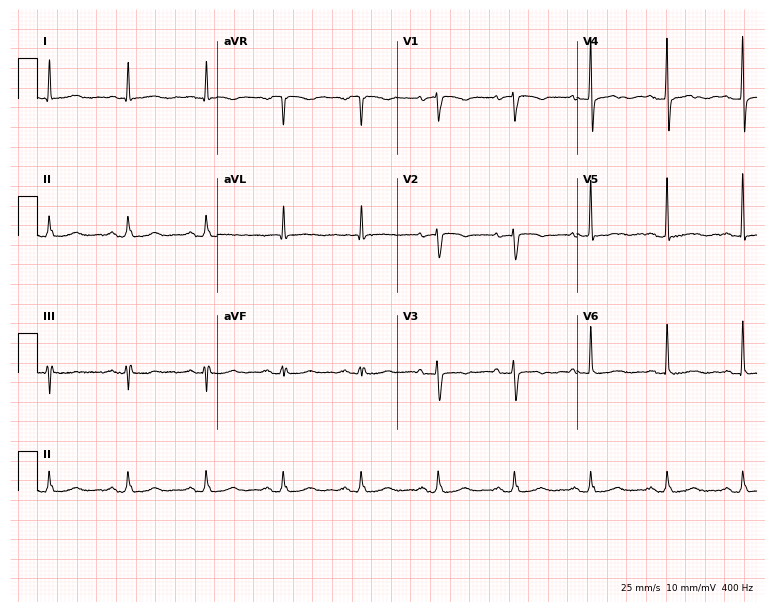
Resting 12-lead electrocardiogram (7.3-second recording at 400 Hz). Patient: a woman, 75 years old. None of these six findings is recorded: first-degree AV block, right bundle branch block, left bundle branch block, sinus bradycardia, atrial fibrillation, sinus tachycardia.